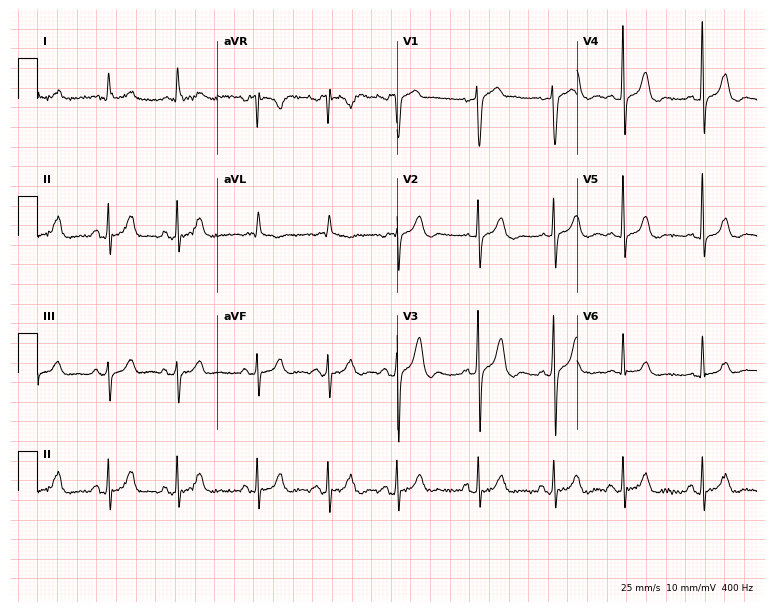
12-lead ECG from an 84-year-old male (7.3-second recording at 400 Hz). Recorded interpretation: within normal limits.